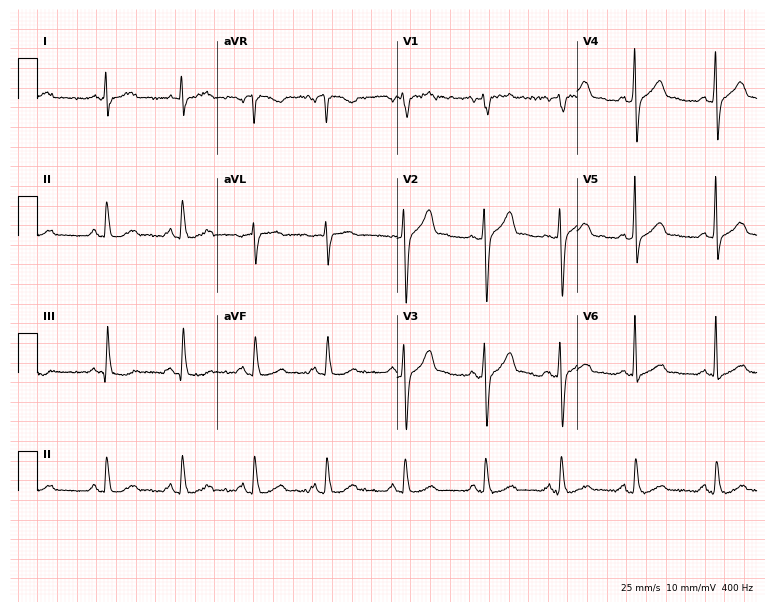
Standard 12-lead ECG recorded from a 42-year-old male. None of these six findings is recorded: first-degree AV block, right bundle branch block (RBBB), left bundle branch block (LBBB), sinus bradycardia, atrial fibrillation (AF), sinus tachycardia. Only these six findings were labelled.